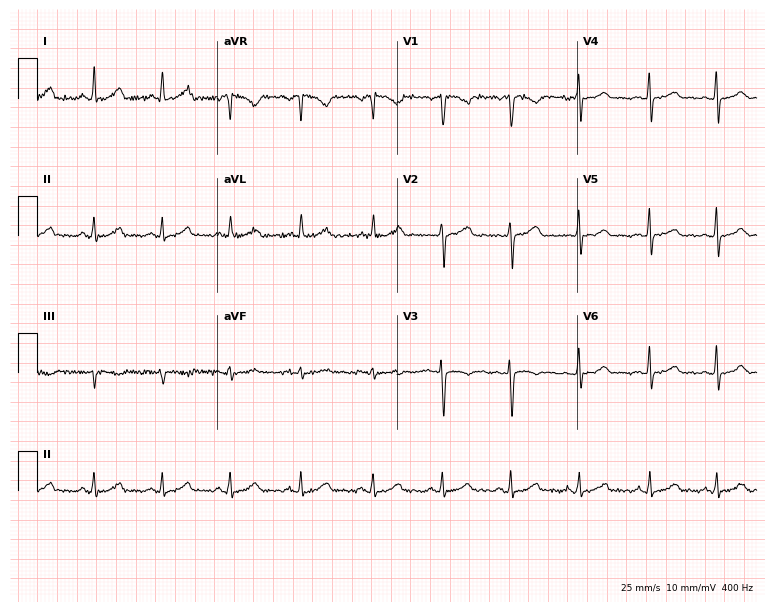
12-lead ECG from a female, 35 years old (7.3-second recording at 400 Hz). Recorded interpretation: within normal limits.